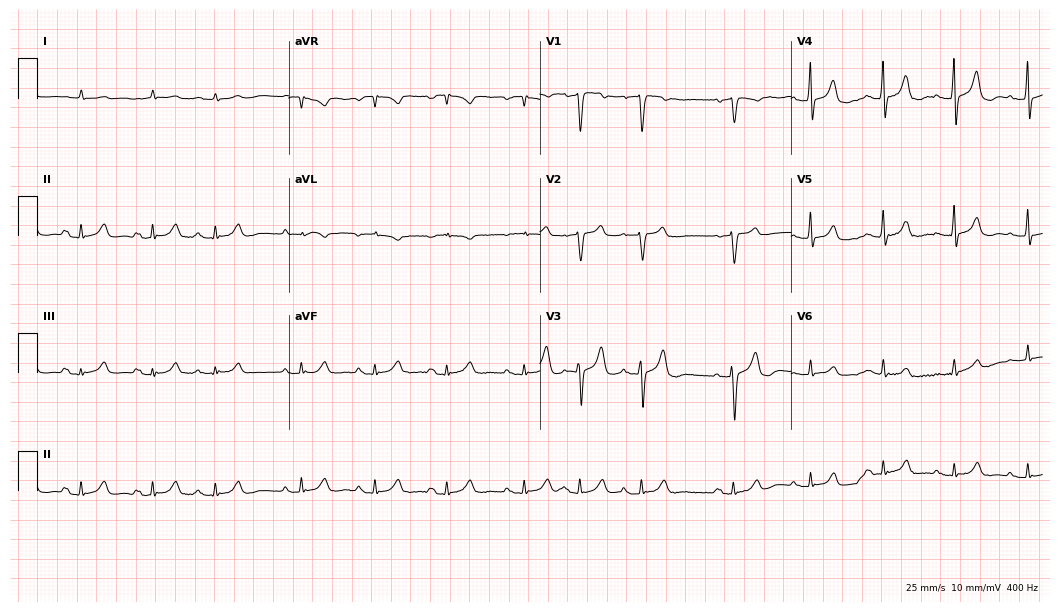
Standard 12-lead ECG recorded from an 80-year-old male patient. None of these six findings is recorded: first-degree AV block, right bundle branch block (RBBB), left bundle branch block (LBBB), sinus bradycardia, atrial fibrillation (AF), sinus tachycardia.